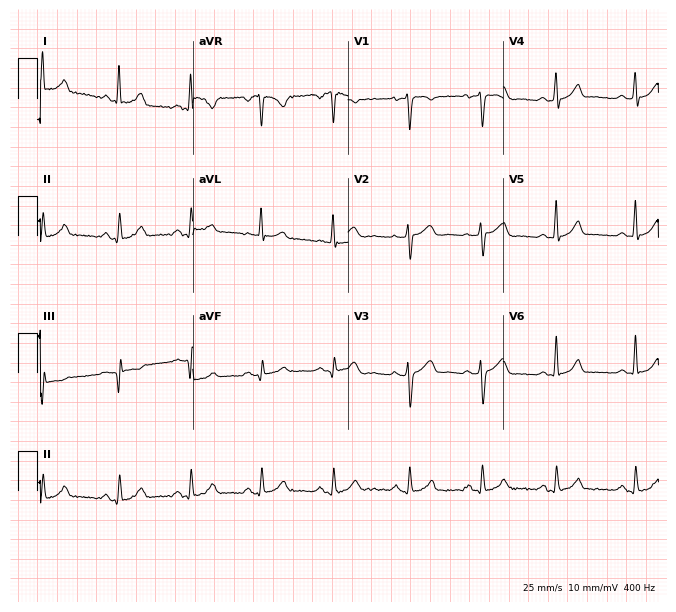
Resting 12-lead electrocardiogram (6.3-second recording at 400 Hz). Patient: a female, 34 years old. None of these six findings is recorded: first-degree AV block, right bundle branch block (RBBB), left bundle branch block (LBBB), sinus bradycardia, atrial fibrillation (AF), sinus tachycardia. Other findings, if any, are not listed.